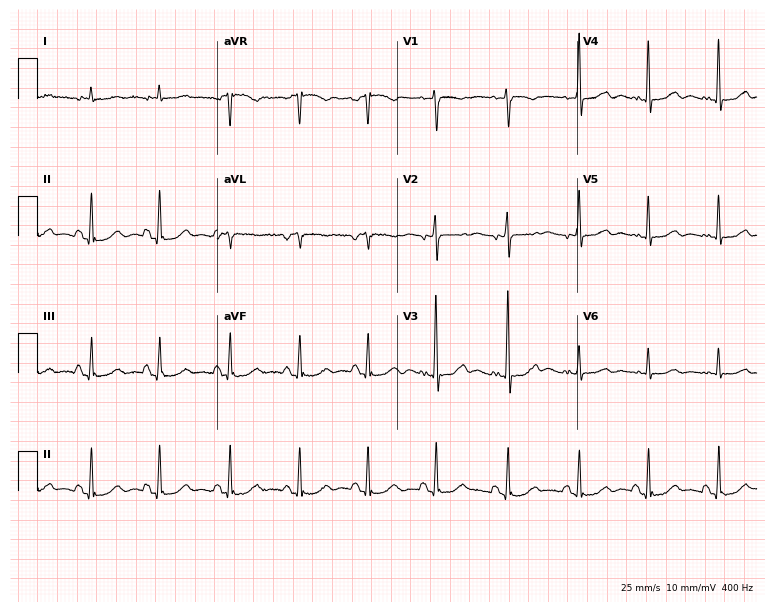
ECG — a woman, 64 years old. Screened for six findings — first-degree AV block, right bundle branch block, left bundle branch block, sinus bradycardia, atrial fibrillation, sinus tachycardia — none is recorded.